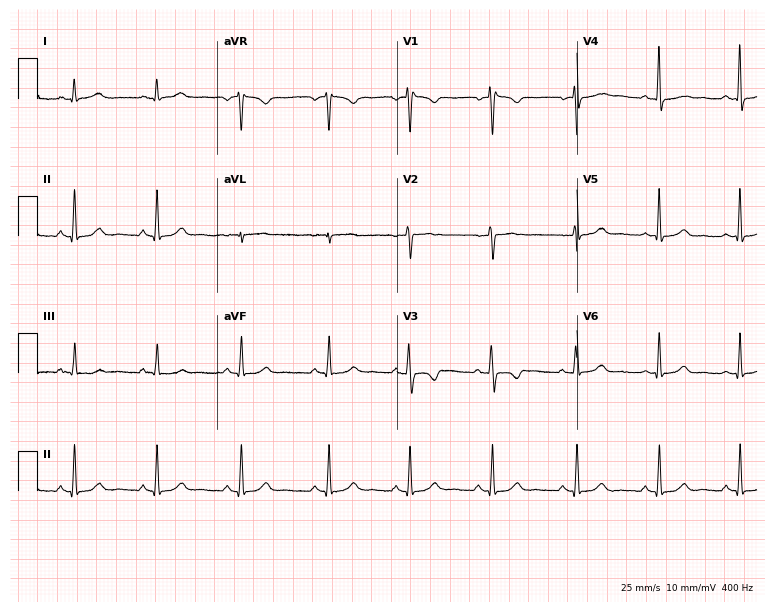
Electrocardiogram (7.3-second recording at 400 Hz), a 38-year-old female patient. Of the six screened findings (first-degree AV block, right bundle branch block (RBBB), left bundle branch block (LBBB), sinus bradycardia, atrial fibrillation (AF), sinus tachycardia), none is recorded. Other findings, if any, are not listed.